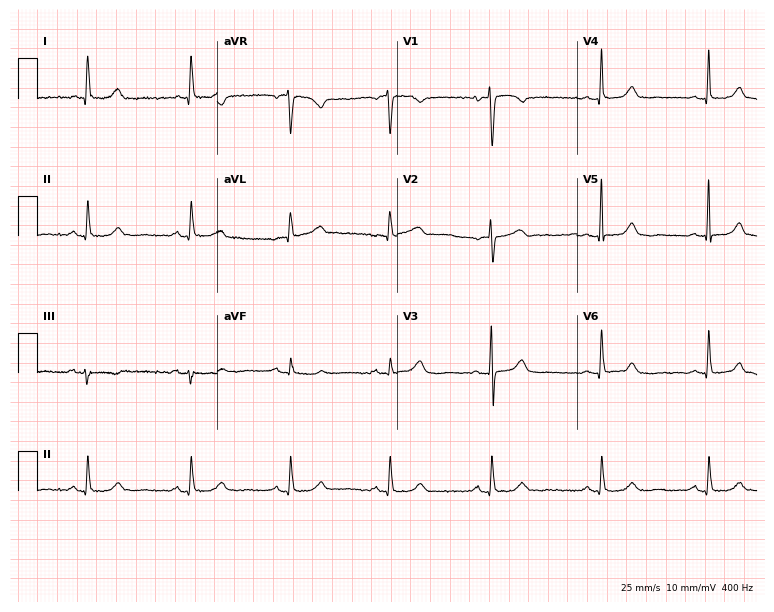
12-lead ECG (7.3-second recording at 400 Hz) from a 67-year-old female patient. Labelled as a normal ECG.